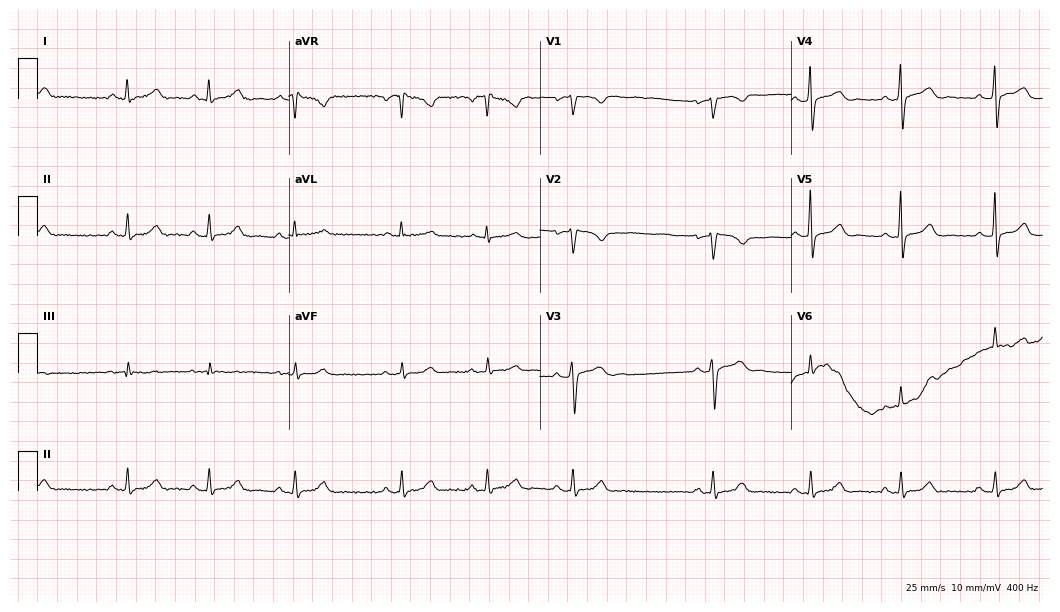
Electrocardiogram (10.2-second recording at 400 Hz), a 35-year-old woman. Overall reading on record: normal ECG.